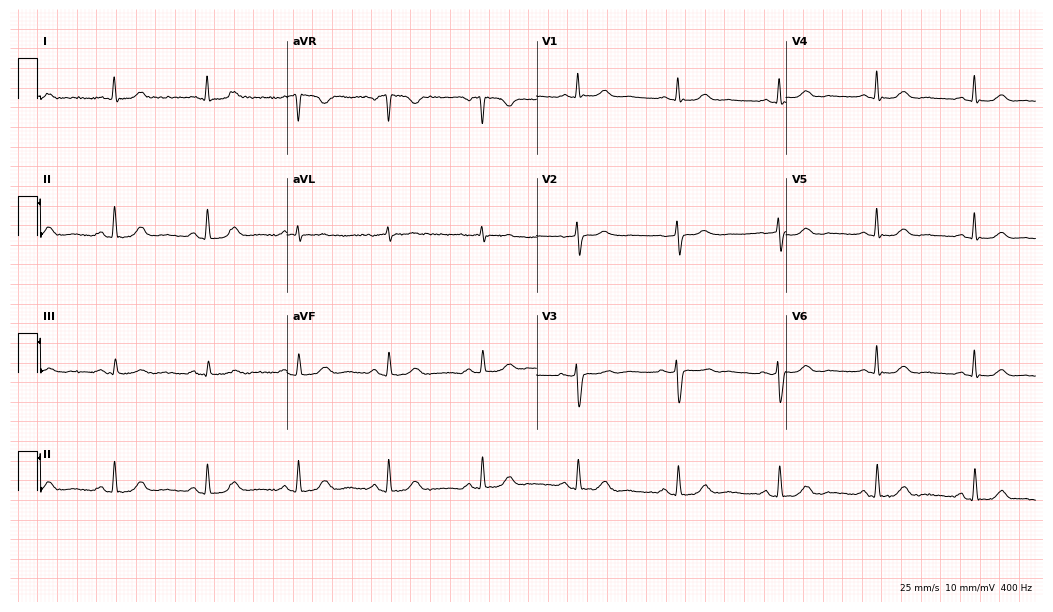
12-lead ECG from a female, 70 years old. Labelled as a normal ECG.